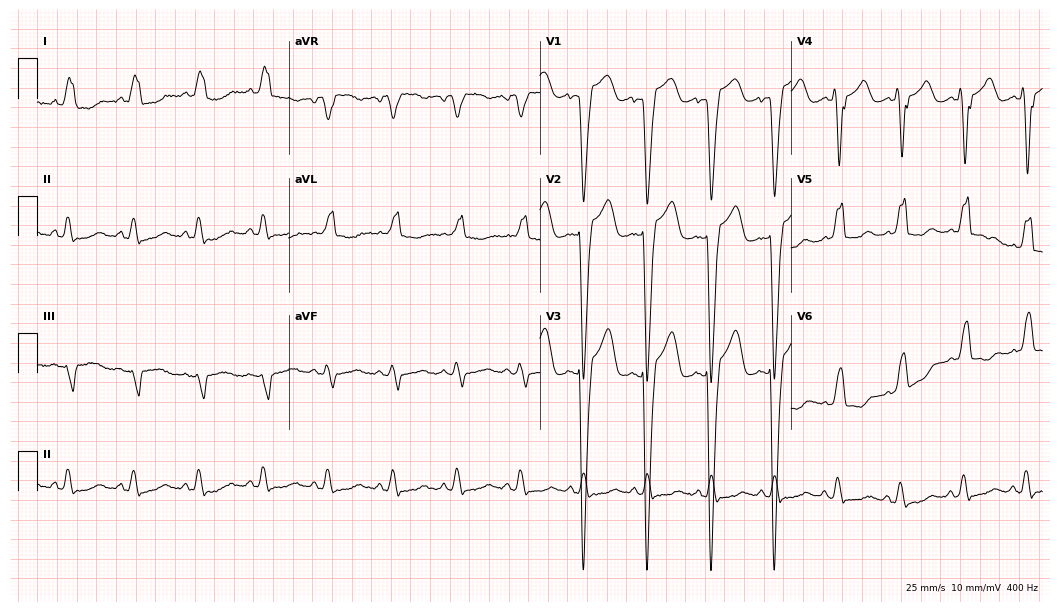
12-lead ECG from a 67-year-old female. Shows left bundle branch block.